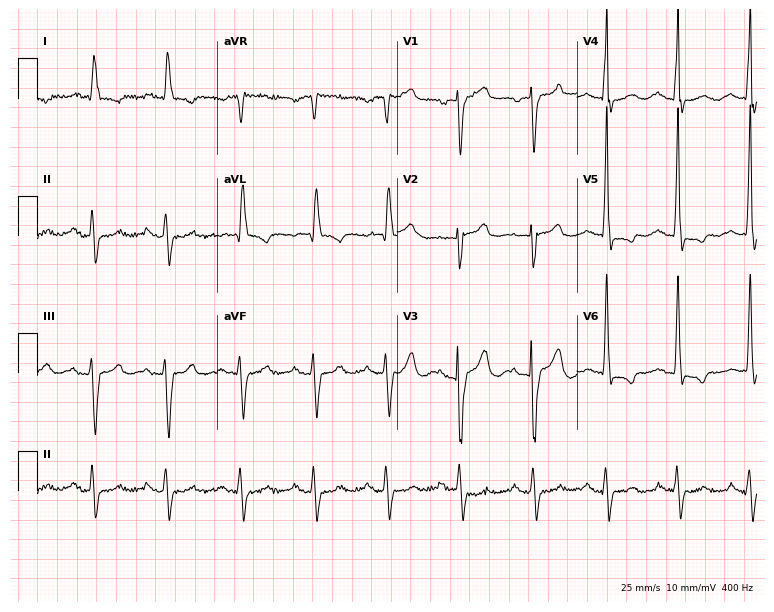
Electrocardiogram (7.3-second recording at 400 Hz), a man, 74 years old. Of the six screened findings (first-degree AV block, right bundle branch block, left bundle branch block, sinus bradycardia, atrial fibrillation, sinus tachycardia), none is recorded. Findings outside these six are not listed.